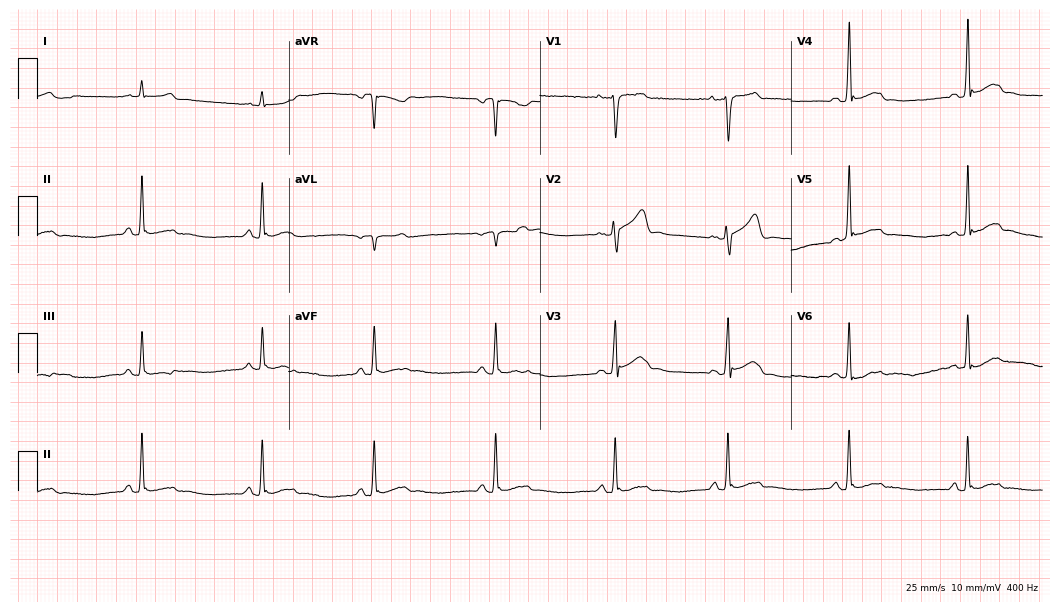
12-lead ECG from a 30-year-old male (10.2-second recording at 400 Hz). No first-degree AV block, right bundle branch block, left bundle branch block, sinus bradycardia, atrial fibrillation or sinus tachycardia recorded for this tracing.